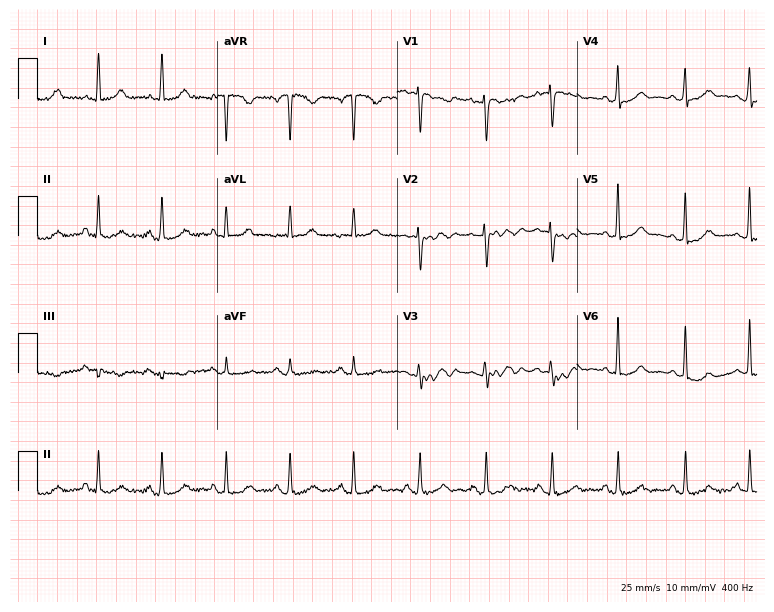
Resting 12-lead electrocardiogram (7.3-second recording at 400 Hz). Patient: a woman, 45 years old. None of these six findings is recorded: first-degree AV block, right bundle branch block, left bundle branch block, sinus bradycardia, atrial fibrillation, sinus tachycardia.